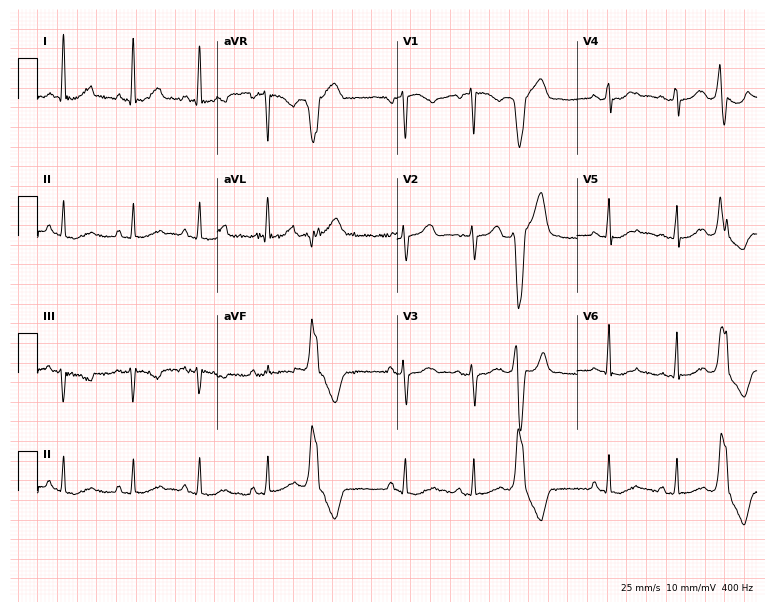
Electrocardiogram, a woman, 70 years old. Of the six screened findings (first-degree AV block, right bundle branch block, left bundle branch block, sinus bradycardia, atrial fibrillation, sinus tachycardia), none is recorded. Other findings, if any, are not listed.